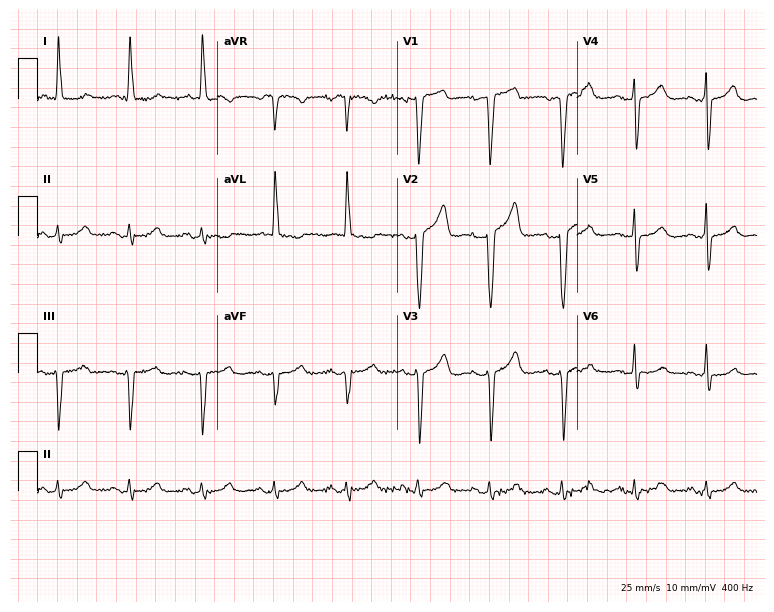
12-lead ECG from a woman, 79 years old. Screened for six findings — first-degree AV block, right bundle branch block, left bundle branch block, sinus bradycardia, atrial fibrillation, sinus tachycardia — none is recorded.